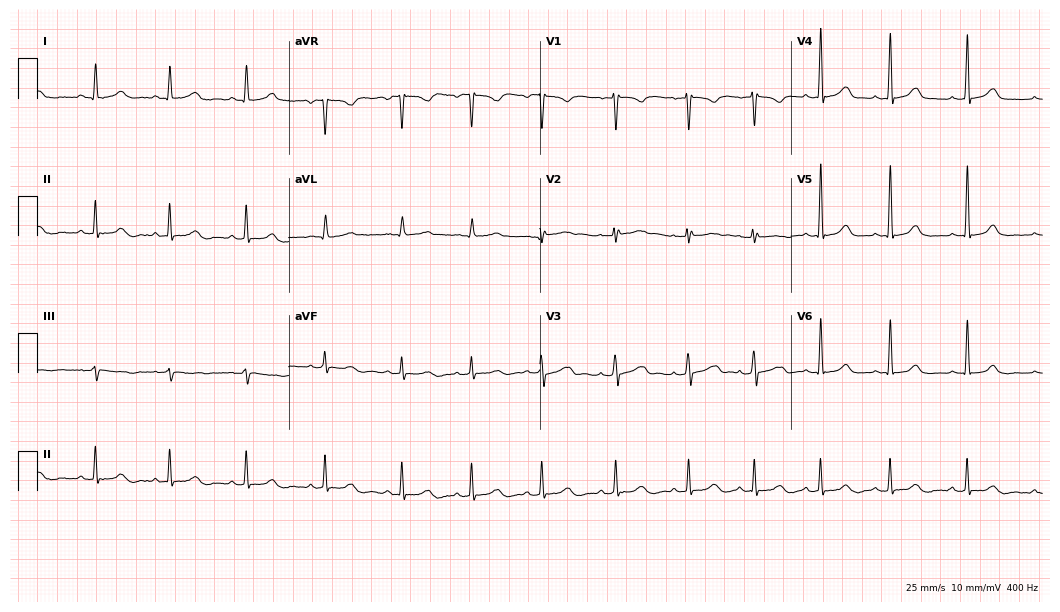
12-lead ECG from a female patient, 21 years old. Recorded interpretation: within normal limits.